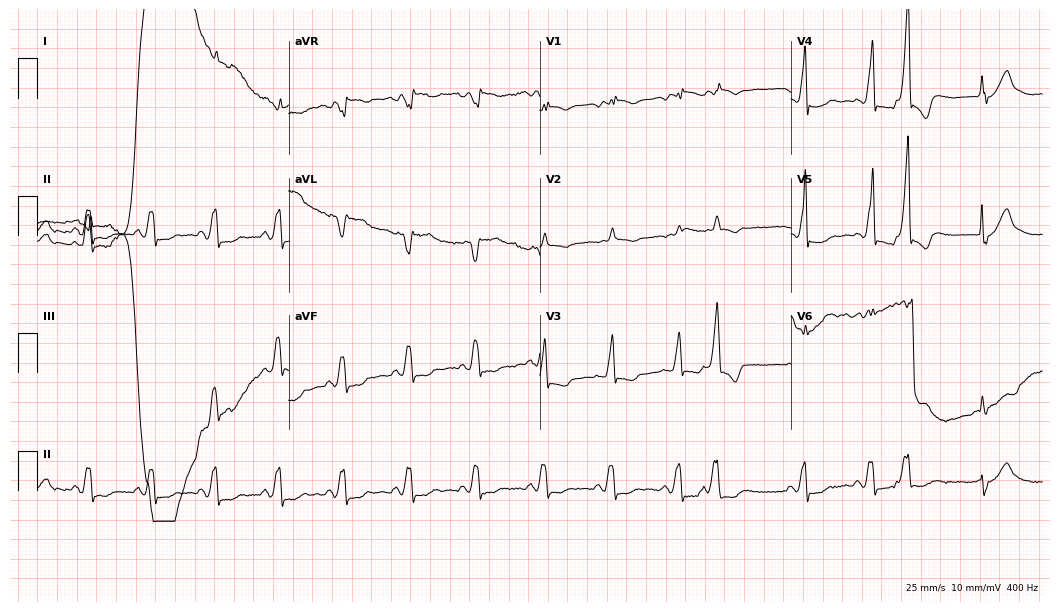
12-lead ECG from a male, 81 years old. Shows atrial fibrillation.